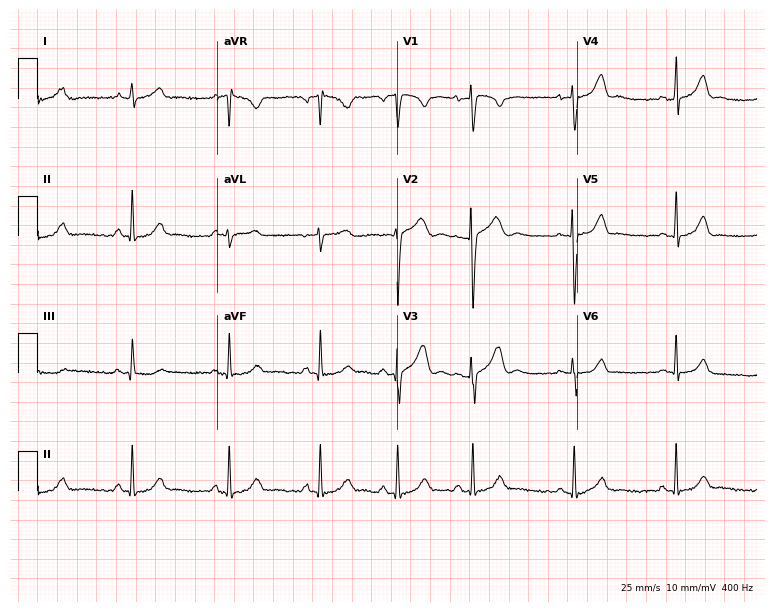
ECG — a 25-year-old male patient. Labelled as a normal ECG.